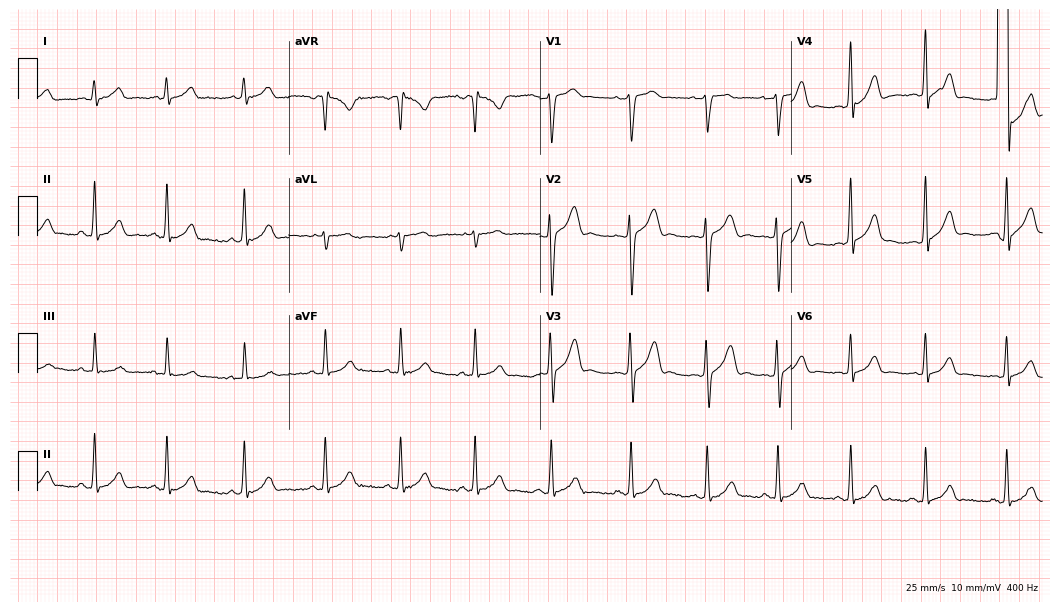
ECG — a male, 21 years old. Screened for six findings — first-degree AV block, right bundle branch block, left bundle branch block, sinus bradycardia, atrial fibrillation, sinus tachycardia — none is recorded. Only these six findings were labelled.